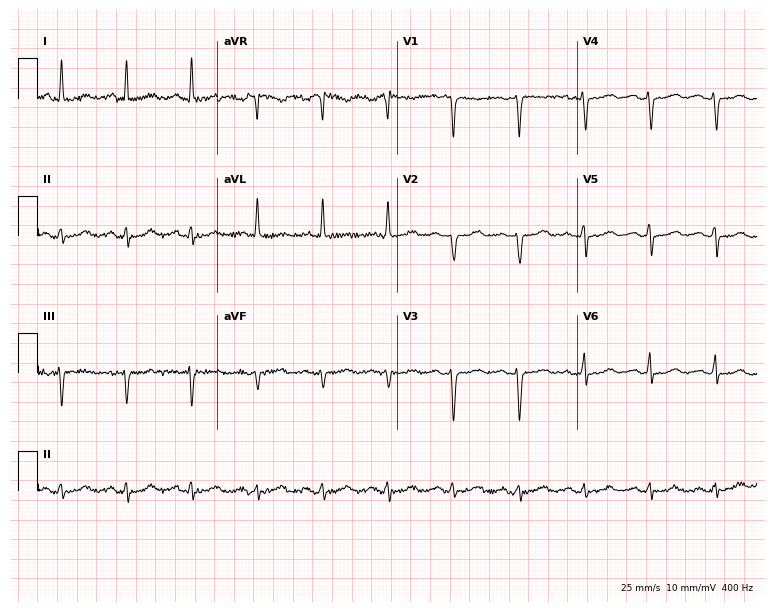
ECG (7.3-second recording at 400 Hz) — a 56-year-old woman. Screened for six findings — first-degree AV block, right bundle branch block, left bundle branch block, sinus bradycardia, atrial fibrillation, sinus tachycardia — none is recorded. Other findings, if any, are not listed.